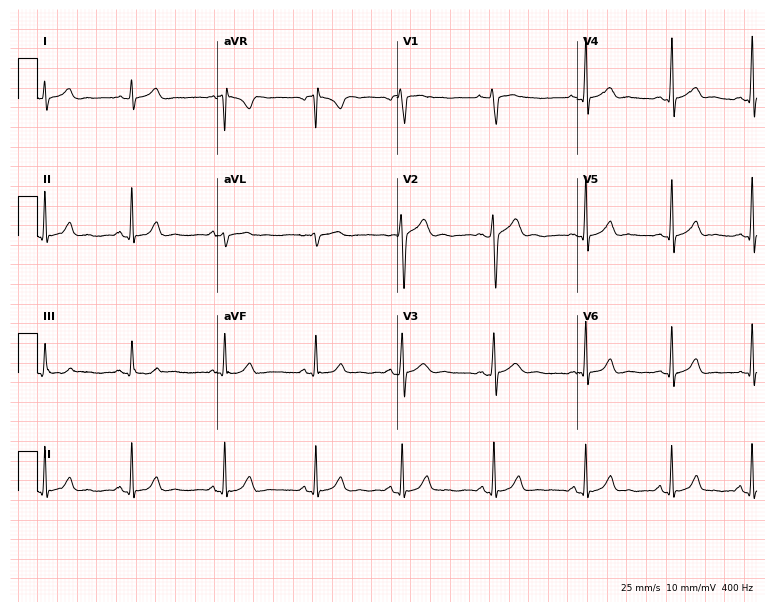
12-lead ECG (7.3-second recording at 400 Hz) from an 18-year-old male patient. Labelled as a normal ECG.